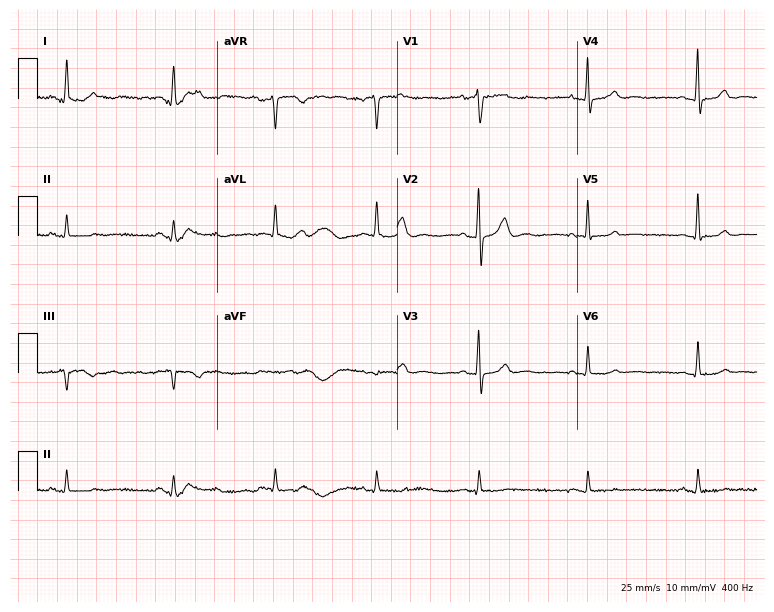
Electrocardiogram (7.3-second recording at 400 Hz), a 48-year-old male. Overall reading on record: normal ECG.